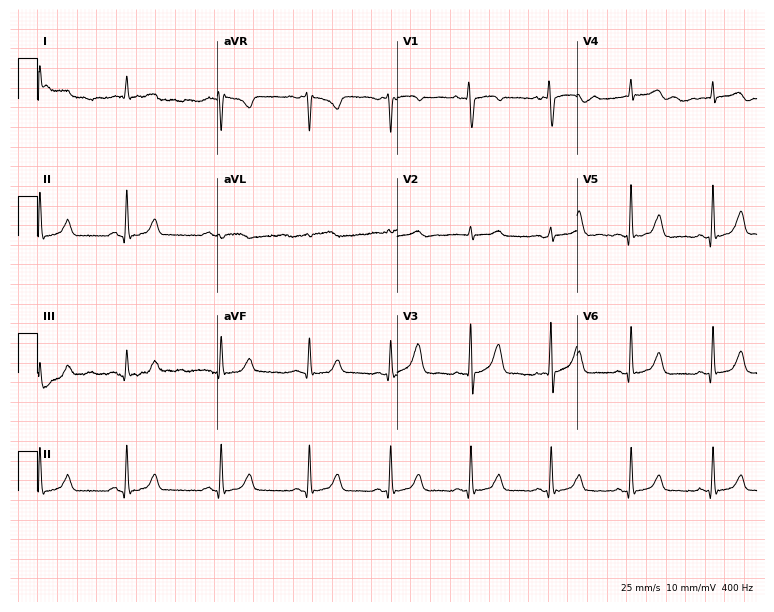
Standard 12-lead ECG recorded from a 31-year-old female patient. None of these six findings is recorded: first-degree AV block, right bundle branch block (RBBB), left bundle branch block (LBBB), sinus bradycardia, atrial fibrillation (AF), sinus tachycardia. Findings outside these six are not listed.